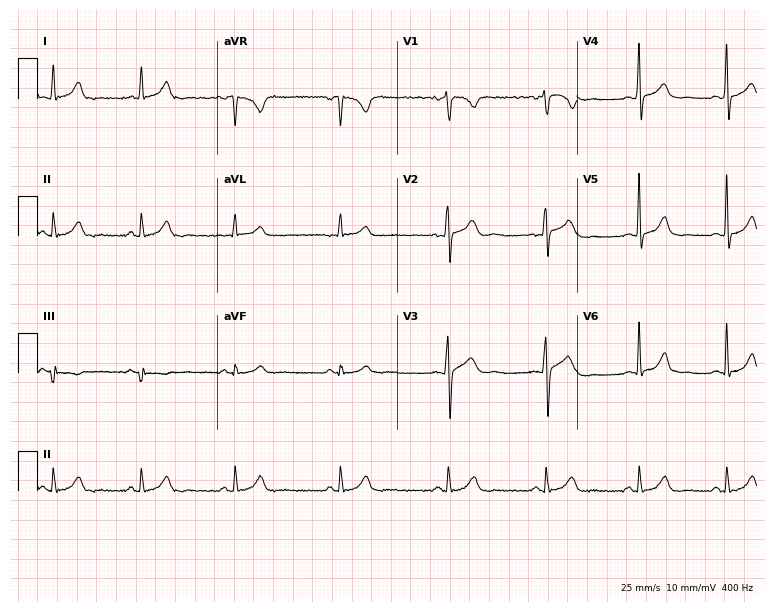
12-lead ECG (7.3-second recording at 400 Hz) from a male, 31 years old. Labelled as a normal ECG.